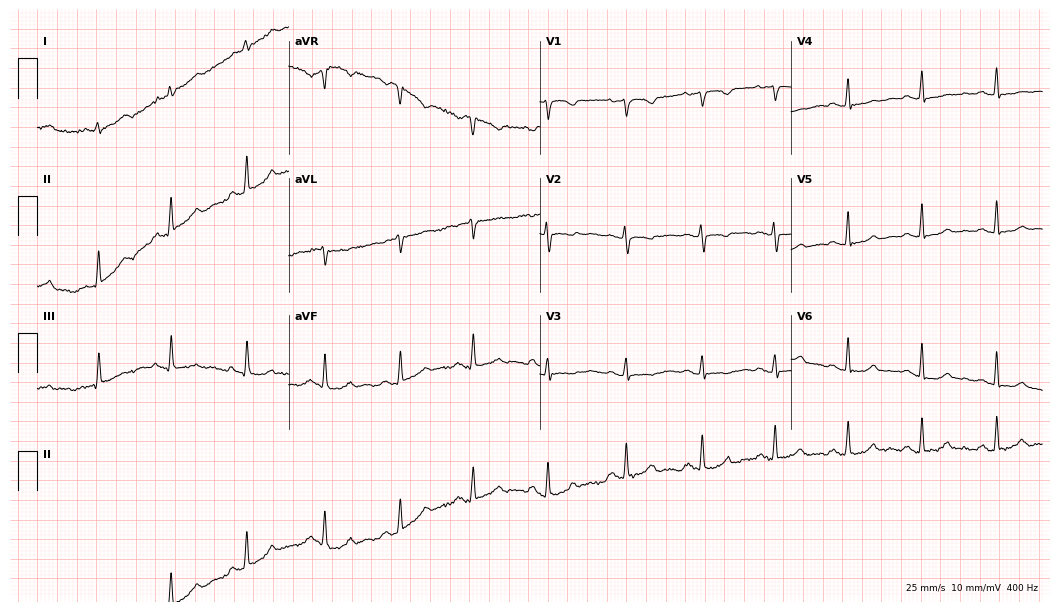
Resting 12-lead electrocardiogram (10.2-second recording at 400 Hz). Patient: a 25-year-old female. None of these six findings is recorded: first-degree AV block, right bundle branch block (RBBB), left bundle branch block (LBBB), sinus bradycardia, atrial fibrillation (AF), sinus tachycardia. Other findings, if any, are not listed.